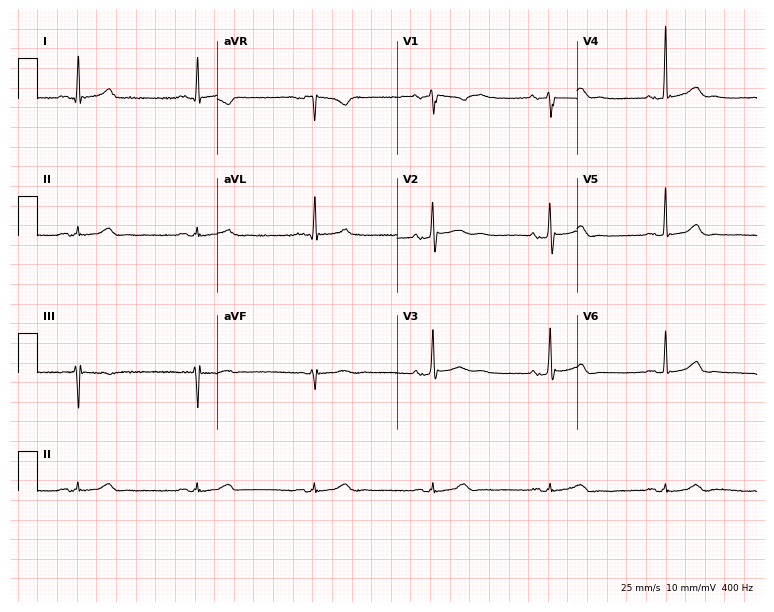
12-lead ECG (7.3-second recording at 400 Hz) from a 55-year-old man. Screened for six findings — first-degree AV block, right bundle branch block, left bundle branch block, sinus bradycardia, atrial fibrillation, sinus tachycardia — none is recorded. Findings outside these six are not listed.